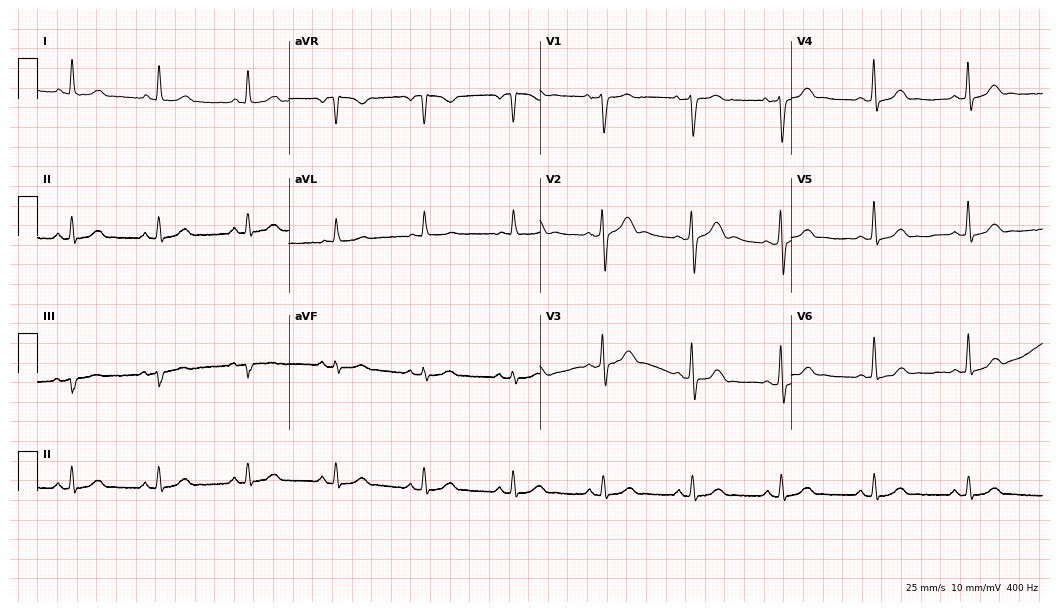
ECG — a 72-year-old male patient. Labelled as a normal ECG.